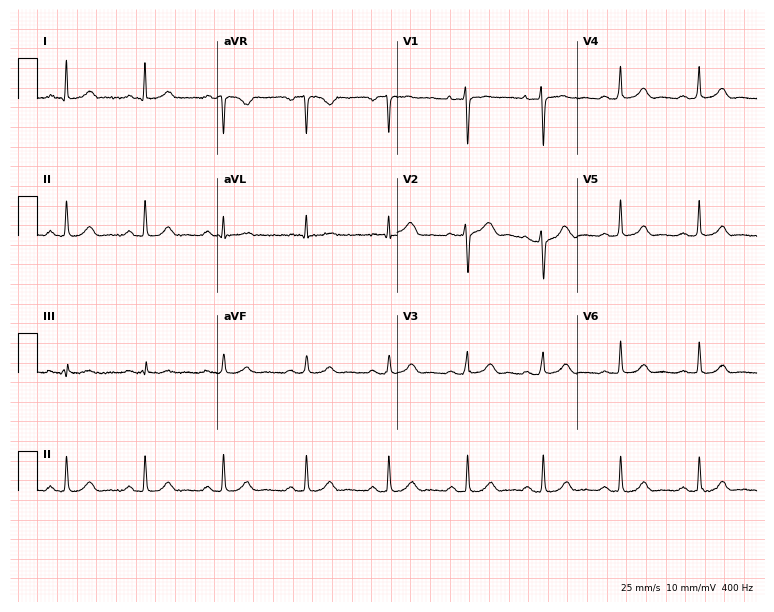
Resting 12-lead electrocardiogram. Patient: a 30-year-old female. Read as a normal ECG.